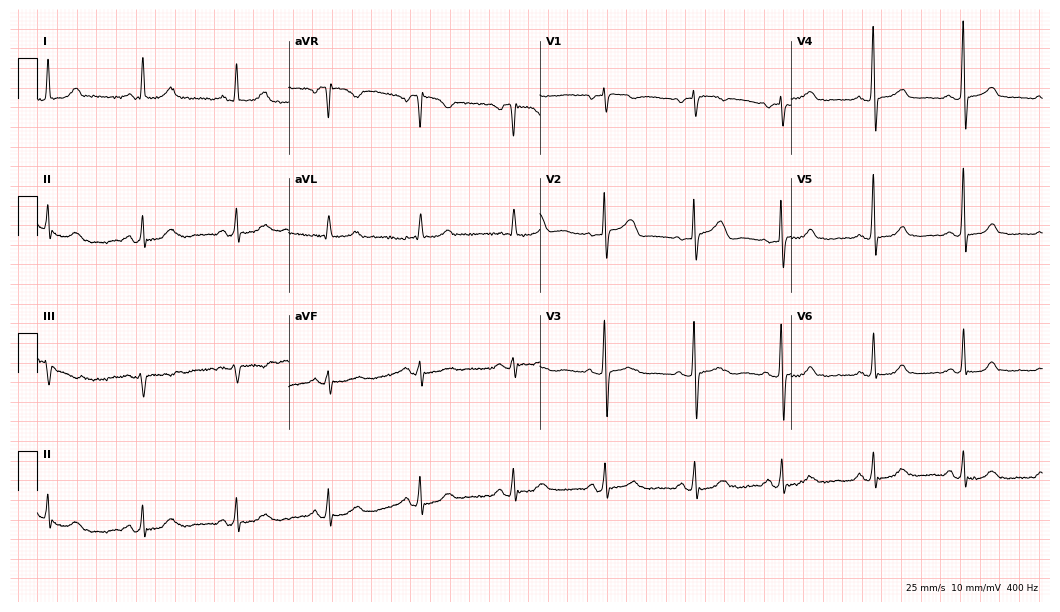
Electrocardiogram (10.2-second recording at 400 Hz), a female, 63 years old. Overall reading on record: normal ECG.